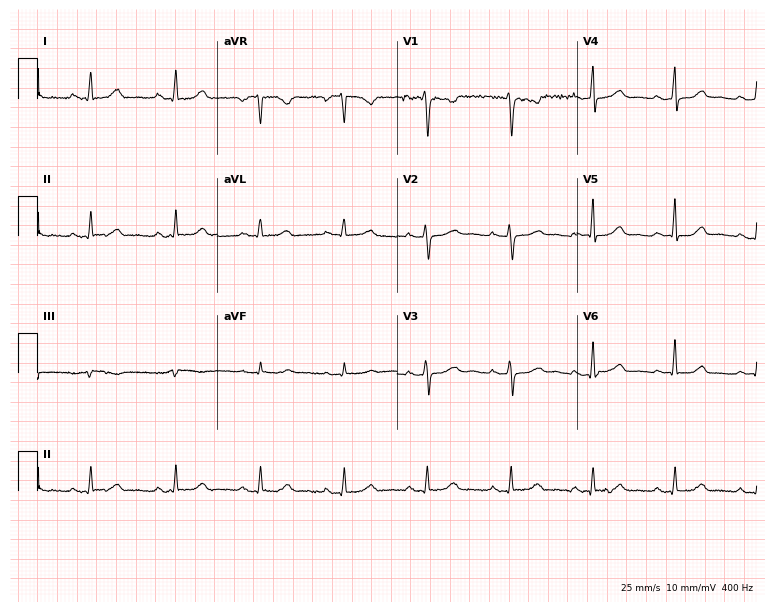
Resting 12-lead electrocardiogram (7.3-second recording at 400 Hz). Patient: a female, 28 years old. Read as a normal ECG.